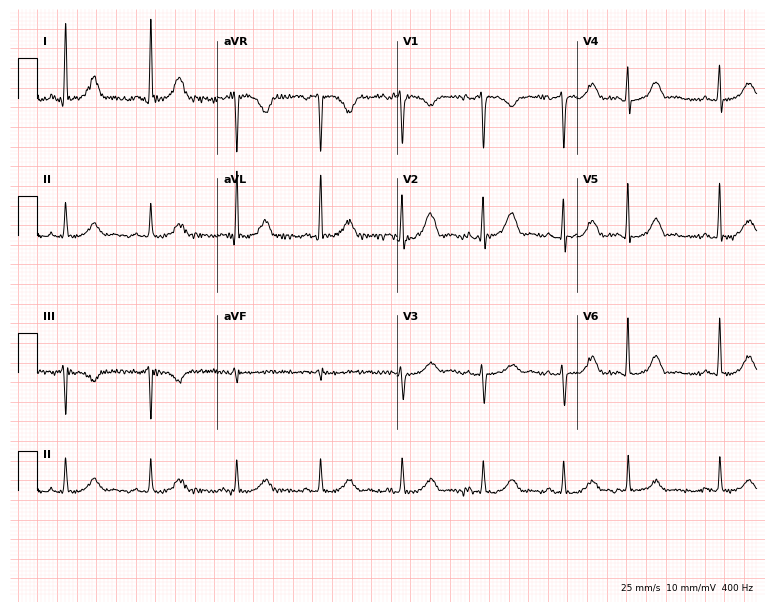
Electrocardiogram (7.3-second recording at 400 Hz), a 55-year-old female patient. Overall reading on record: normal ECG.